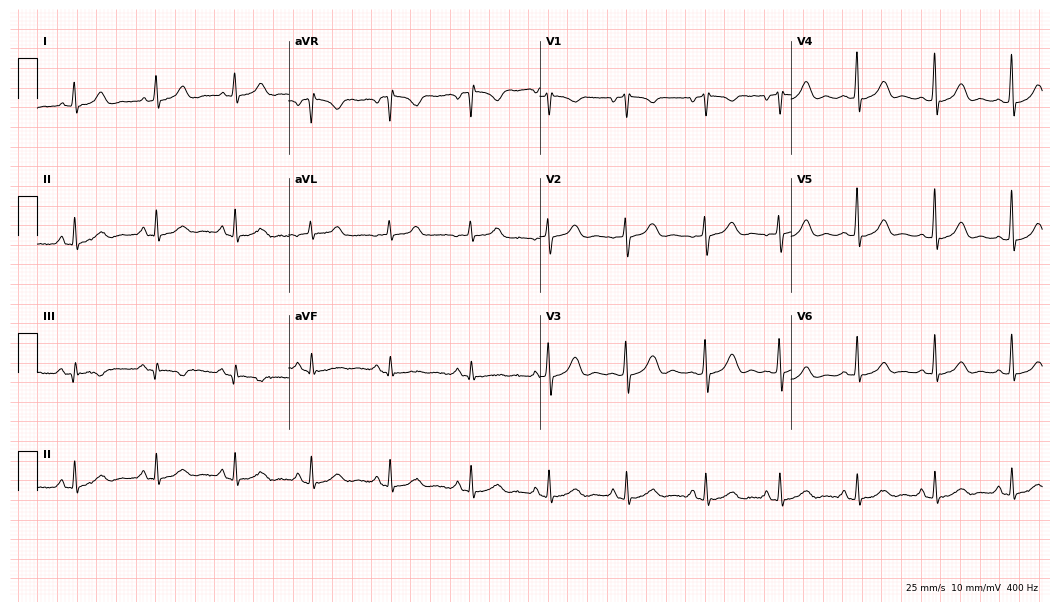
ECG (10.2-second recording at 400 Hz) — a 45-year-old female patient. Labelled as a normal ECG.